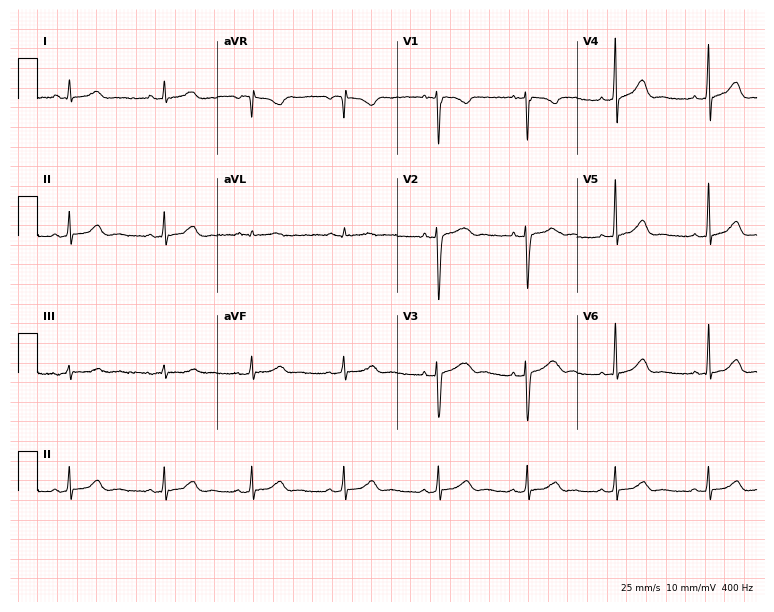
Resting 12-lead electrocardiogram. Patient: a woman, 30 years old. Read as a normal ECG.